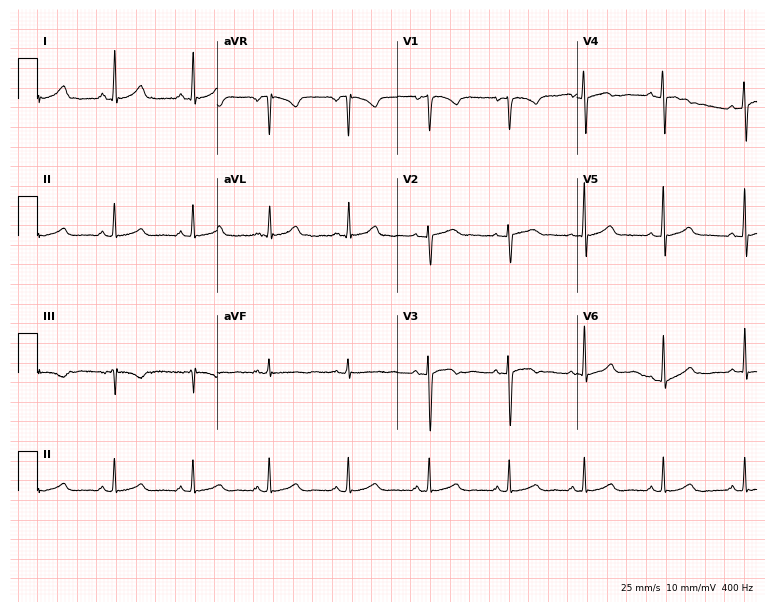
12-lead ECG from a woman, 23 years old (7.3-second recording at 400 Hz). Recorded interpretation: within normal limits.